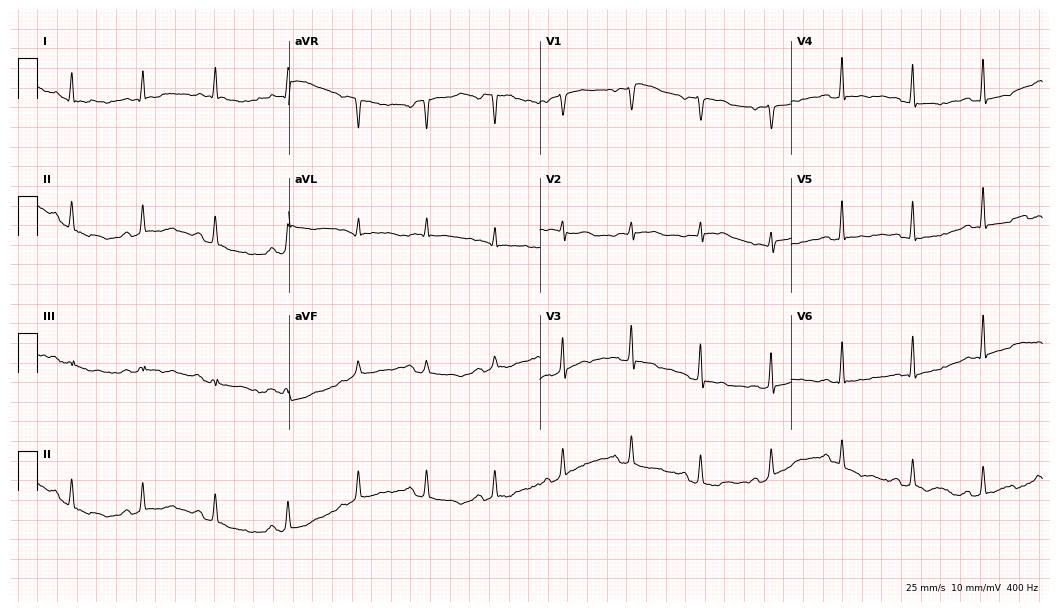
Standard 12-lead ECG recorded from a female patient, 69 years old. Read as a normal ECG.